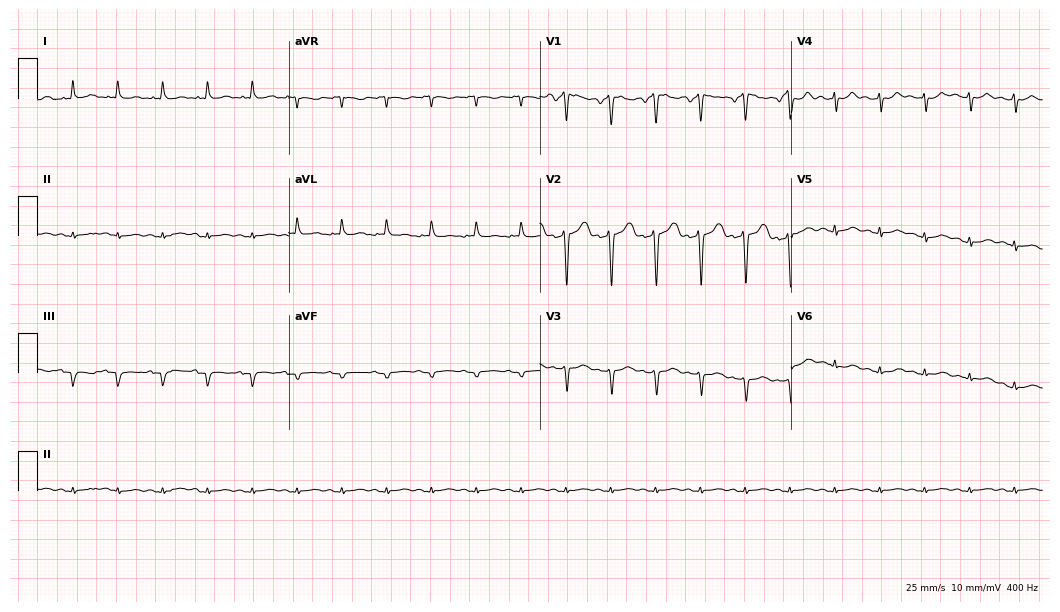
Resting 12-lead electrocardiogram (10.2-second recording at 400 Hz). Patient: a female, 80 years old. The tracing shows sinus tachycardia (a sinus rate of 100 beats per minute or more).